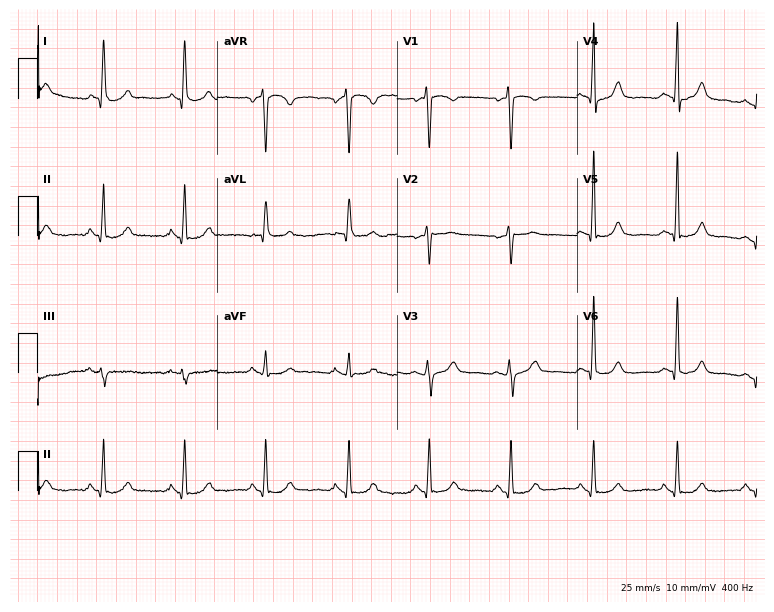
12-lead ECG from a 64-year-old female patient. No first-degree AV block, right bundle branch block, left bundle branch block, sinus bradycardia, atrial fibrillation or sinus tachycardia recorded for this tracing. Other findings, if any, are not listed.